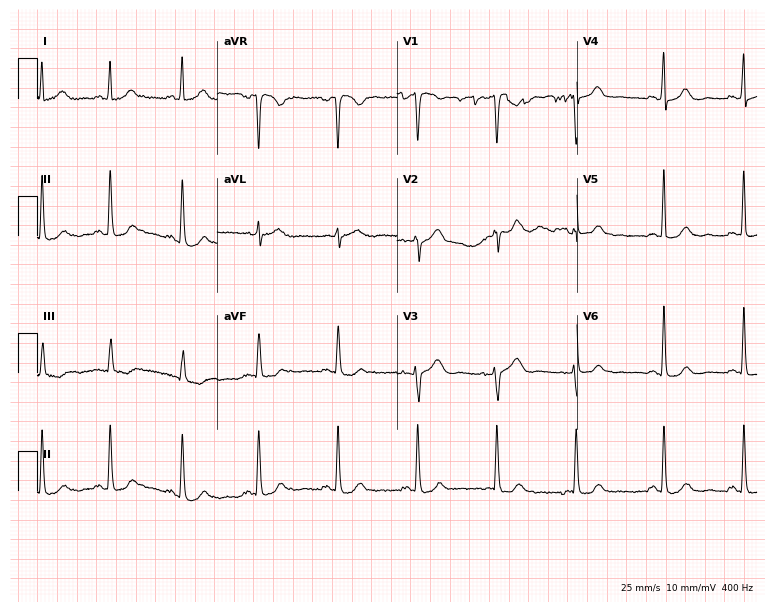
ECG — a woman, 49 years old. Labelled as a normal ECG.